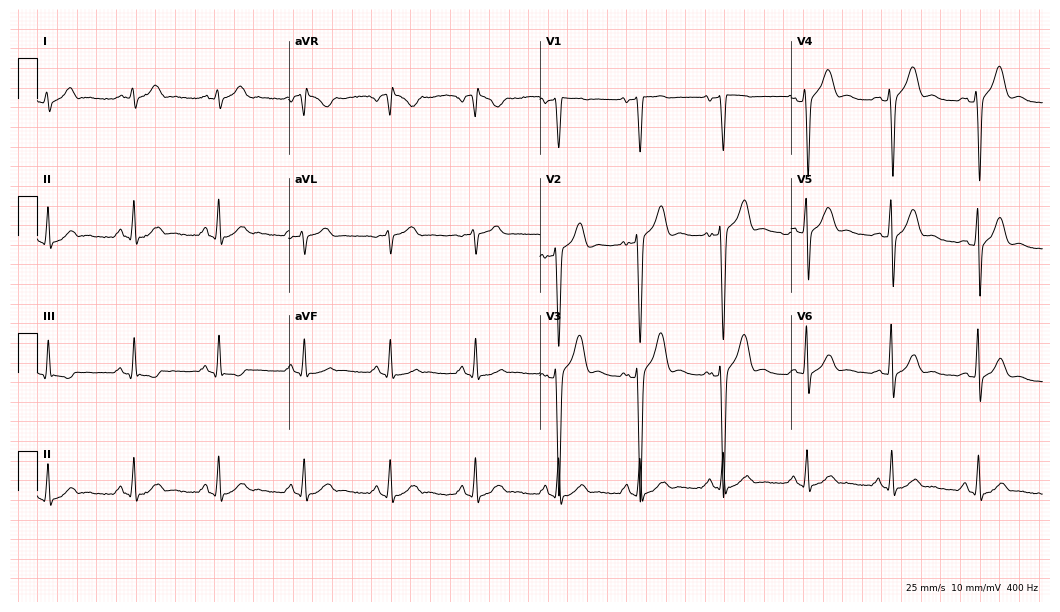
Standard 12-lead ECG recorded from a 32-year-old male. None of these six findings is recorded: first-degree AV block, right bundle branch block, left bundle branch block, sinus bradycardia, atrial fibrillation, sinus tachycardia. Only these six findings were labelled.